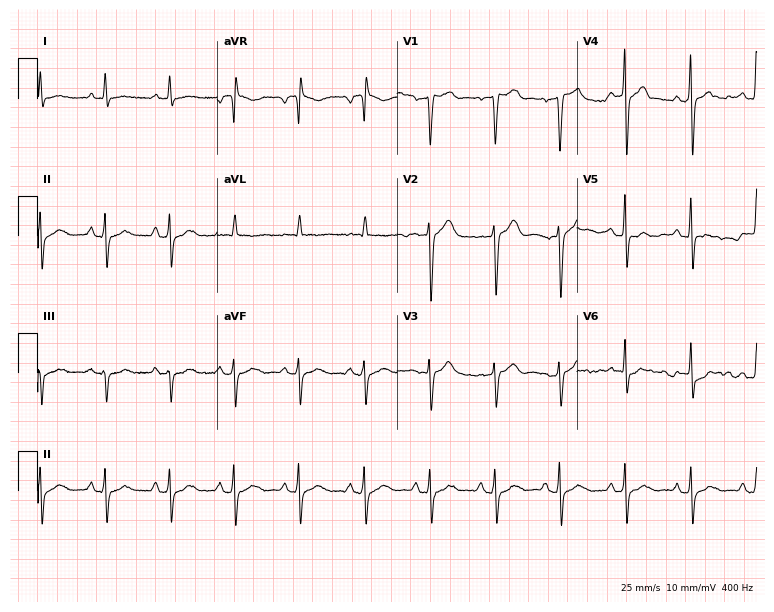
12-lead ECG (7.3-second recording at 400 Hz) from a 65-year-old male patient. Screened for six findings — first-degree AV block, right bundle branch block, left bundle branch block, sinus bradycardia, atrial fibrillation, sinus tachycardia — none is recorded.